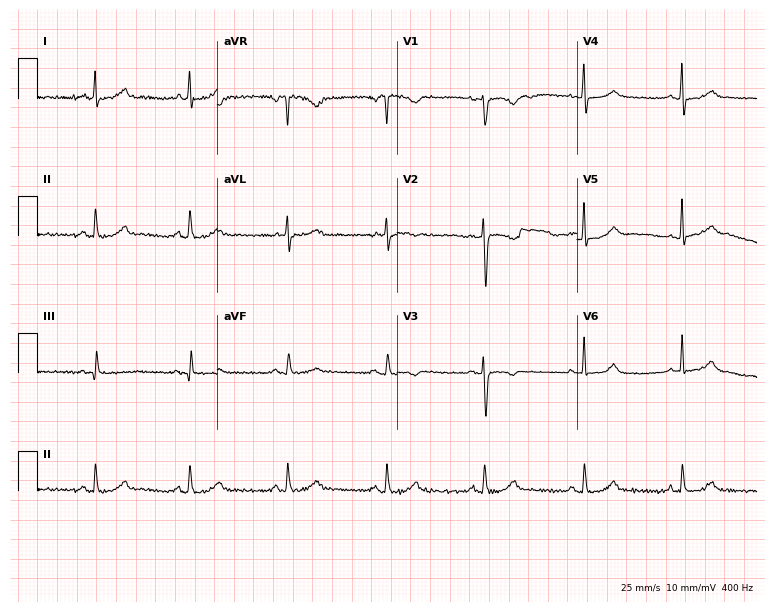
12-lead ECG from a female, 43 years old. Labelled as a normal ECG.